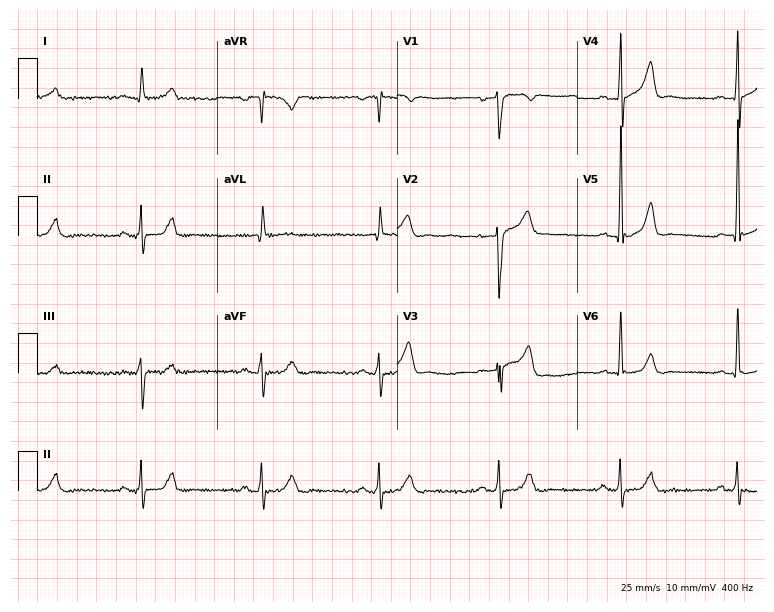
12-lead ECG (7.3-second recording at 400 Hz) from a 70-year-old man. Findings include sinus bradycardia (a sinus rate of 50 beats per minute or less).